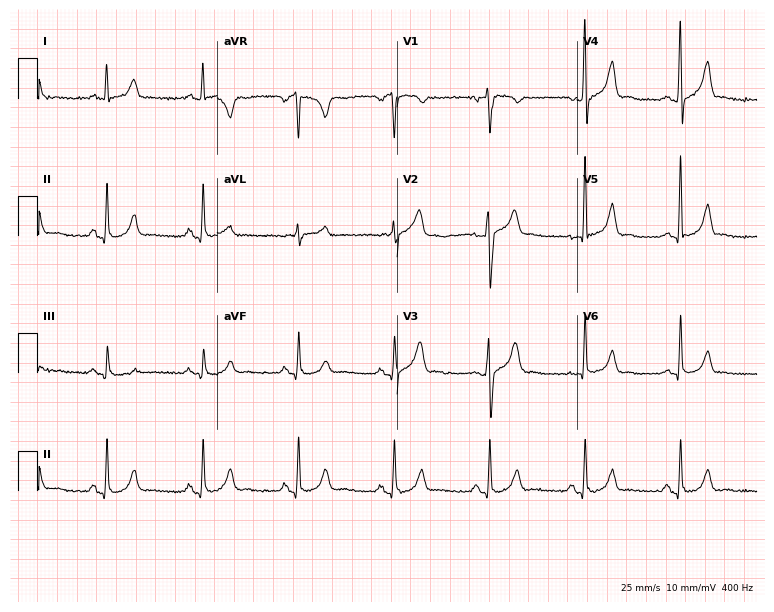
Resting 12-lead electrocardiogram (7.3-second recording at 400 Hz). Patient: a male, 64 years old. None of these six findings is recorded: first-degree AV block, right bundle branch block (RBBB), left bundle branch block (LBBB), sinus bradycardia, atrial fibrillation (AF), sinus tachycardia. Other findings, if any, are not listed.